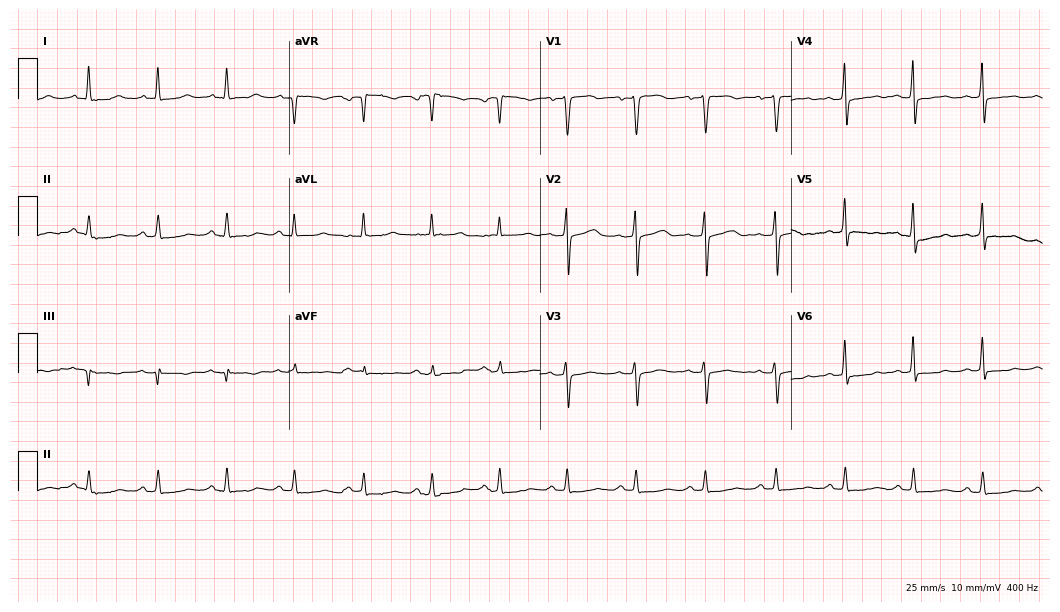
12-lead ECG from a 54-year-old female. No first-degree AV block, right bundle branch block (RBBB), left bundle branch block (LBBB), sinus bradycardia, atrial fibrillation (AF) or sinus tachycardia recorded for this tracing. Only these six findings were labelled.